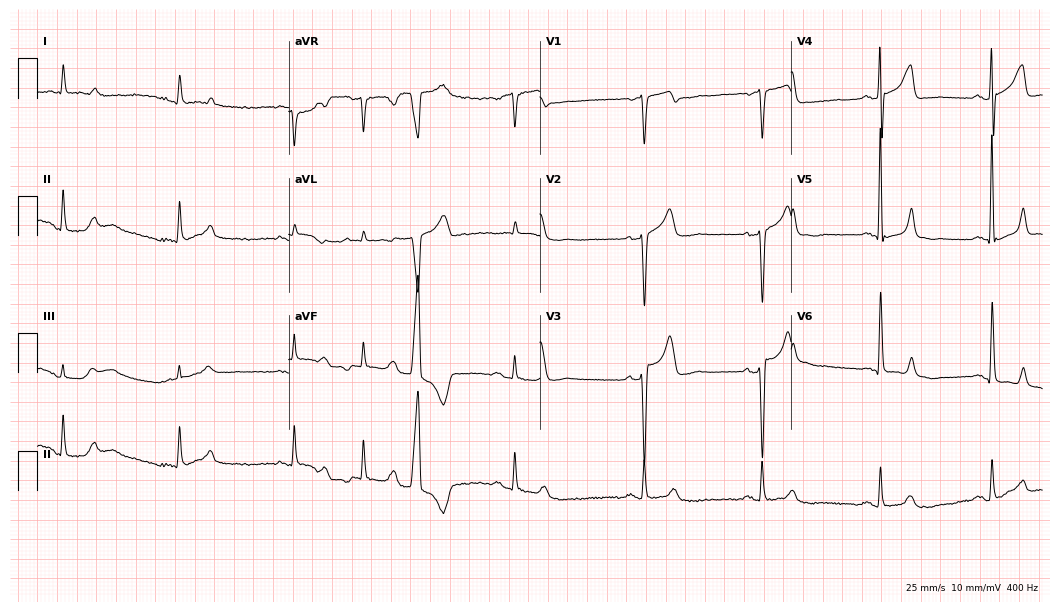
Electrocardiogram, a 79-year-old man. Of the six screened findings (first-degree AV block, right bundle branch block, left bundle branch block, sinus bradycardia, atrial fibrillation, sinus tachycardia), none is recorded. Only these six findings were labelled.